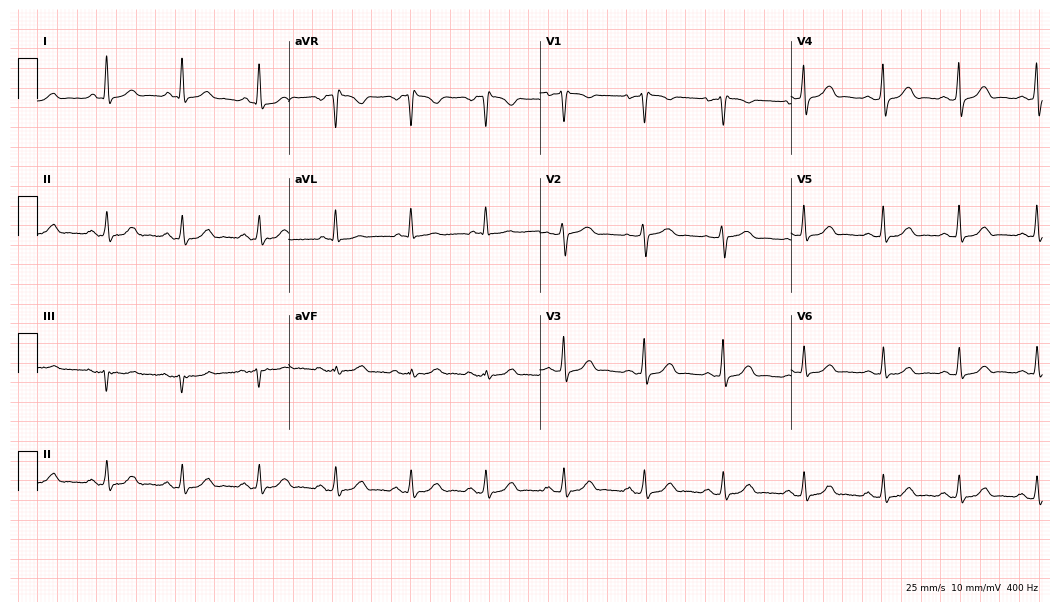
12-lead ECG (10.2-second recording at 400 Hz) from a 36-year-old woman. Labelled as a normal ECG.